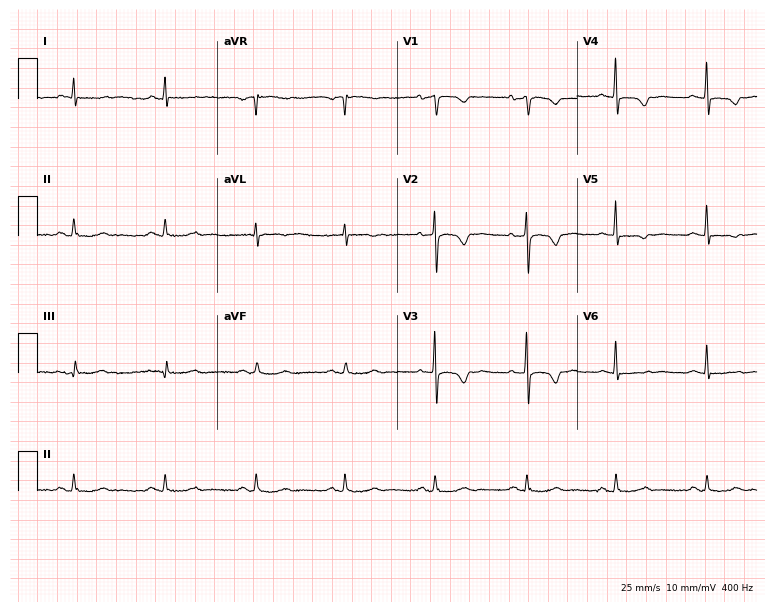
12-lead ECG from a 70-year-old female patient (7.3-second recording at 400 Hz). No first-degree AV block, right bundle branch block, left bundle branch block, sinus bradycardia, atrial fibrillation or sinus tachycardia recorded for this tracing. Findings outside these six are not listed.